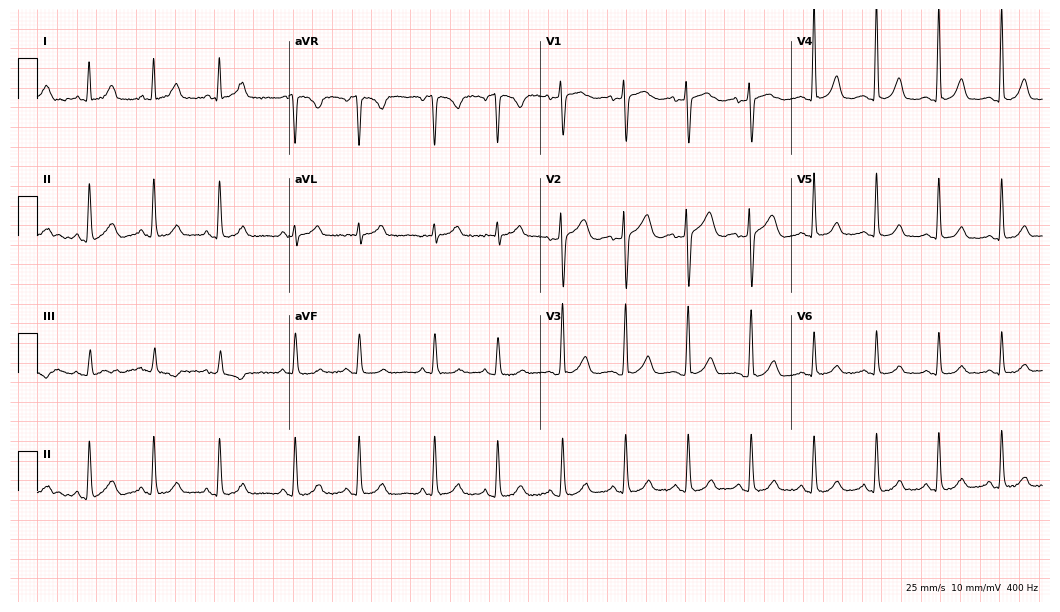
12-lead ECG from a woman, 50 years old. Recorded interpretation: within normal limits.